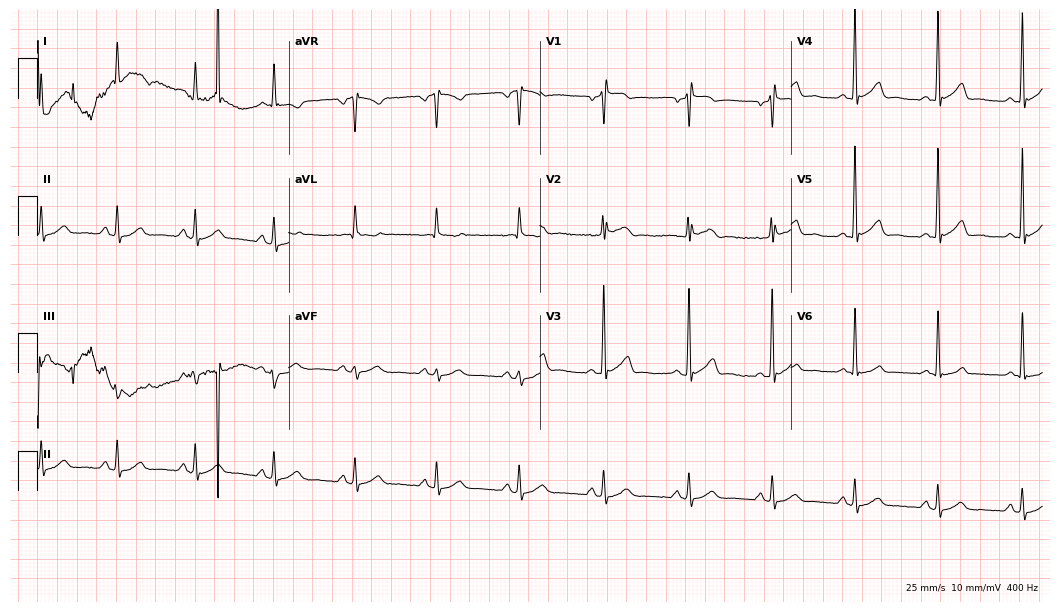
12-lead ECG from a 56-year-old male patient. No first-degree AV block, right bundle branch block, left bundle branch block, sinus bradycardia, atrial fibrillation or sinus tachycardia recorded for this tracing. Only these six findings were labelled.